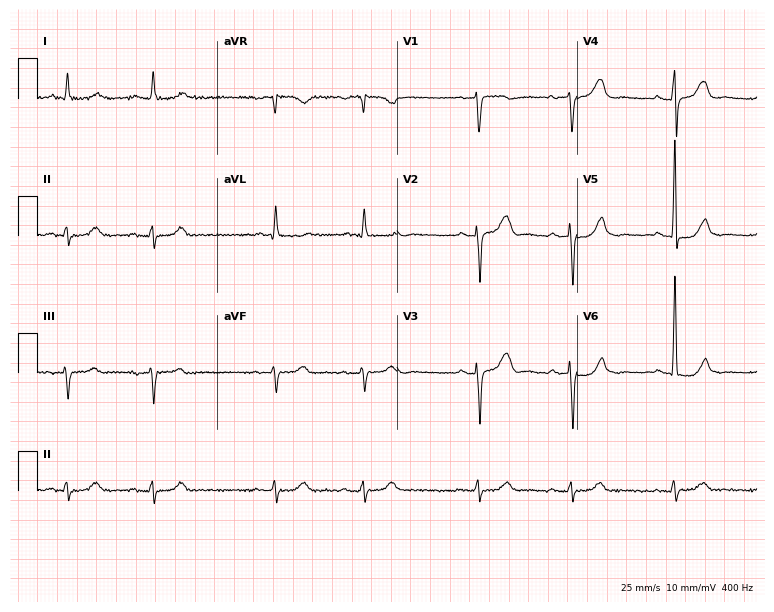
ECG — a man, 85 years old. Screened for six findings — first-degree AV block, right bundle branch block (RBBB), left bundle branch block (LBBB), sinus bradycardia, atrial fibrillation (AF), sinus tachycardia — none is recorded. Only these six findings were labelled.